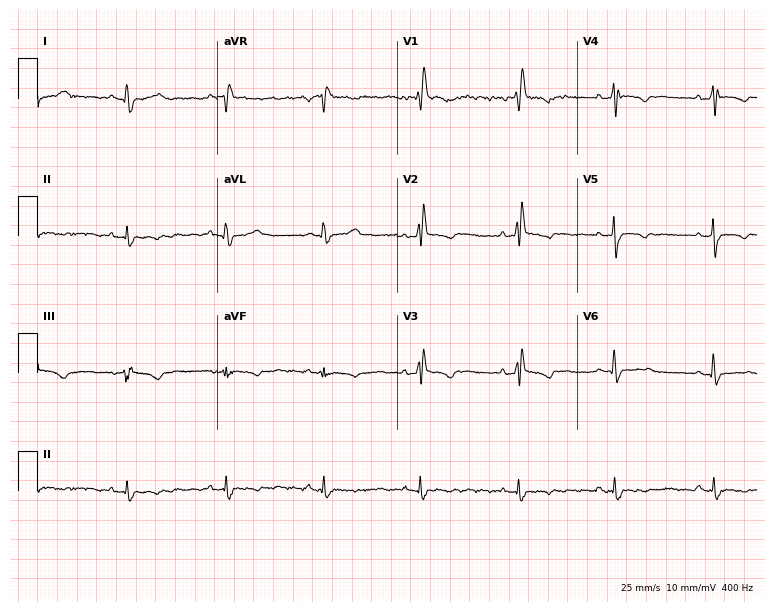
Electrocardiogram (7.3-second recording at 400 Hz), a female patient, 47 years old. Interpretation includes right bundle branch block.